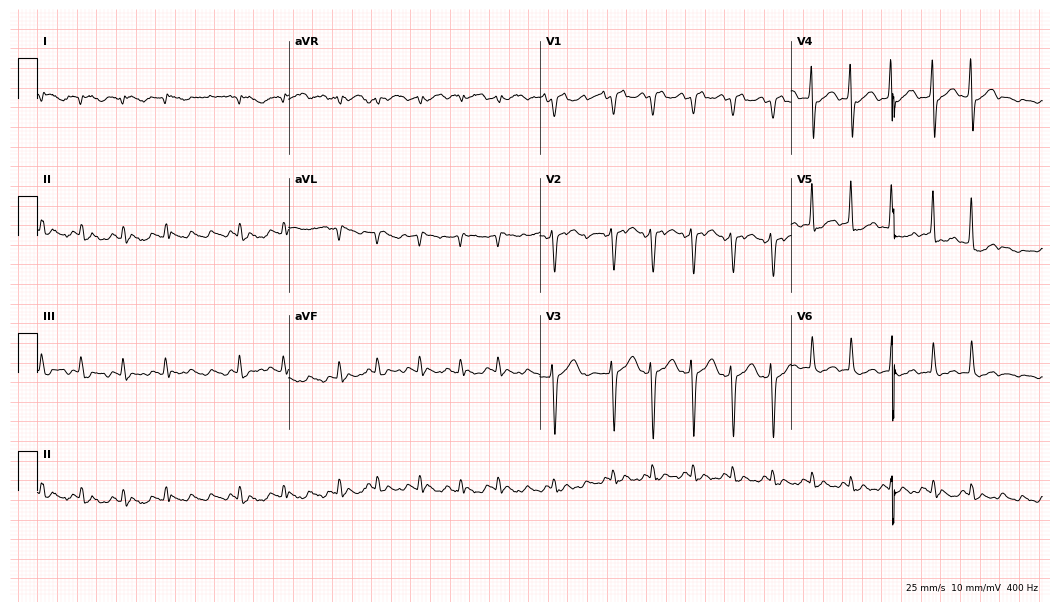
Electrocardiogram, an 85-year-old female. Of the six screened findings (first-degree AV block, right bundle branch block (RBBB), left bundle branch block (LBBB), sinus bradycardia, atrial fibrillation (AF), sinus tachycardia), none is recorded. Only these six findings were labelled.